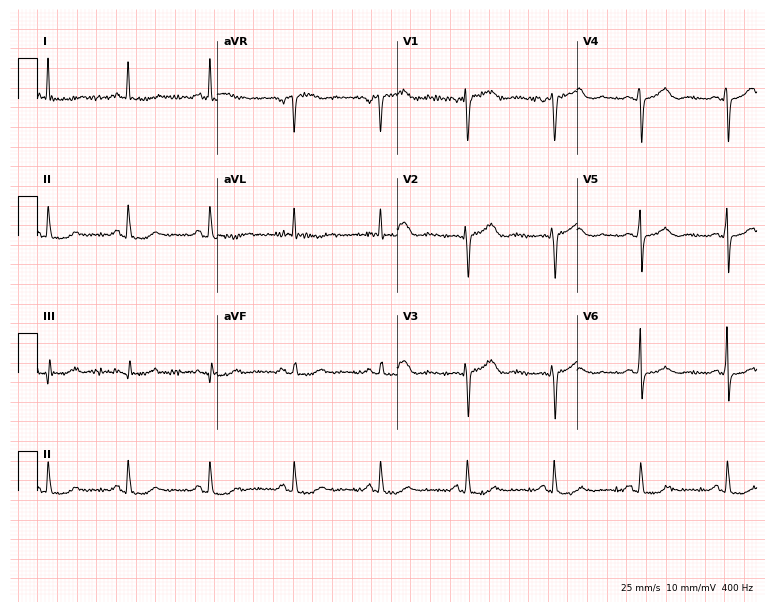
Electrocardiogram, a woman, 49 years old. Overall reading on record: normal ECG.